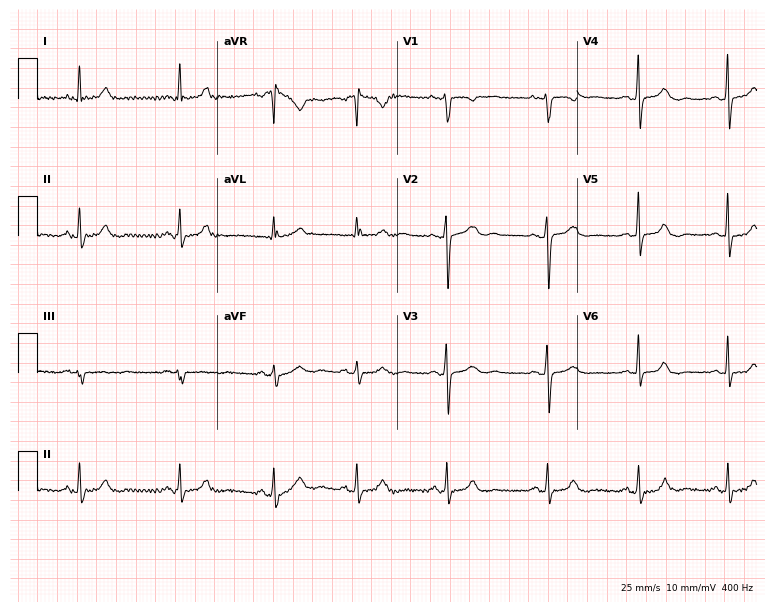
ECG — a female patient, 22 years old. Labelled as a normal ECG.